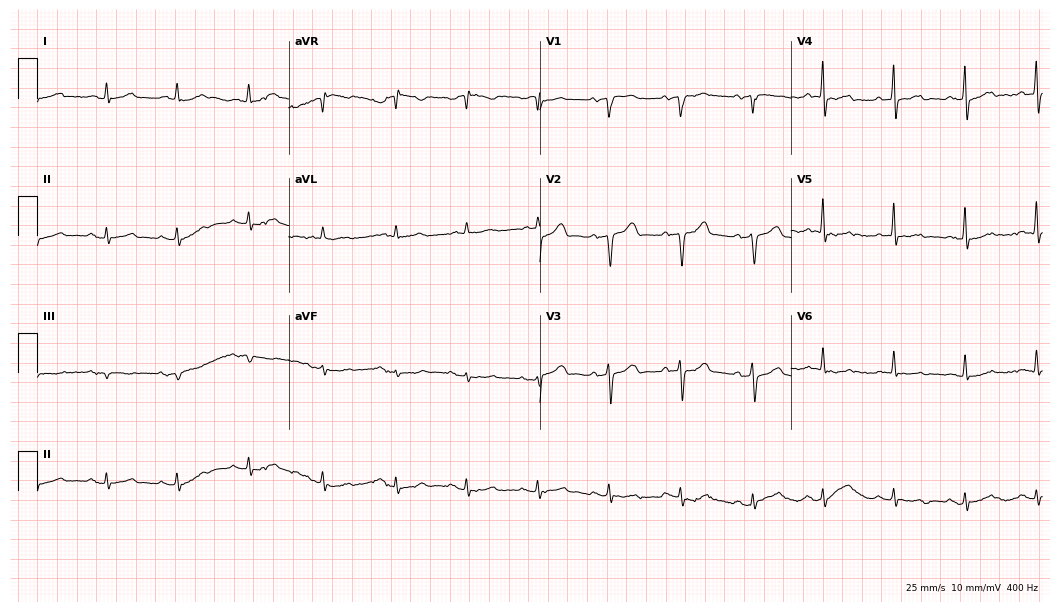
Standard 12-lead ECG recorded from a male patient, 80 years old (10.2-second recording at 400 Hz). None of these six findings is recorded: first-degree AV block, right bundle branch block, left bundle branch block, sinus bradycardia, atrial fibrillation, sinus tachycardia.